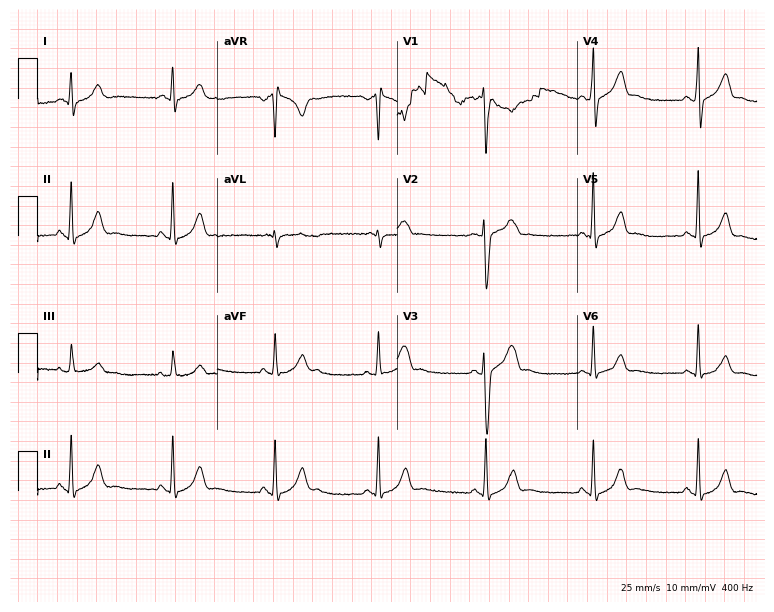
12-lead ECG from a female, 28 years old (7.3-second recording at 400 Hz). Recorded interpretation: within normal limits.